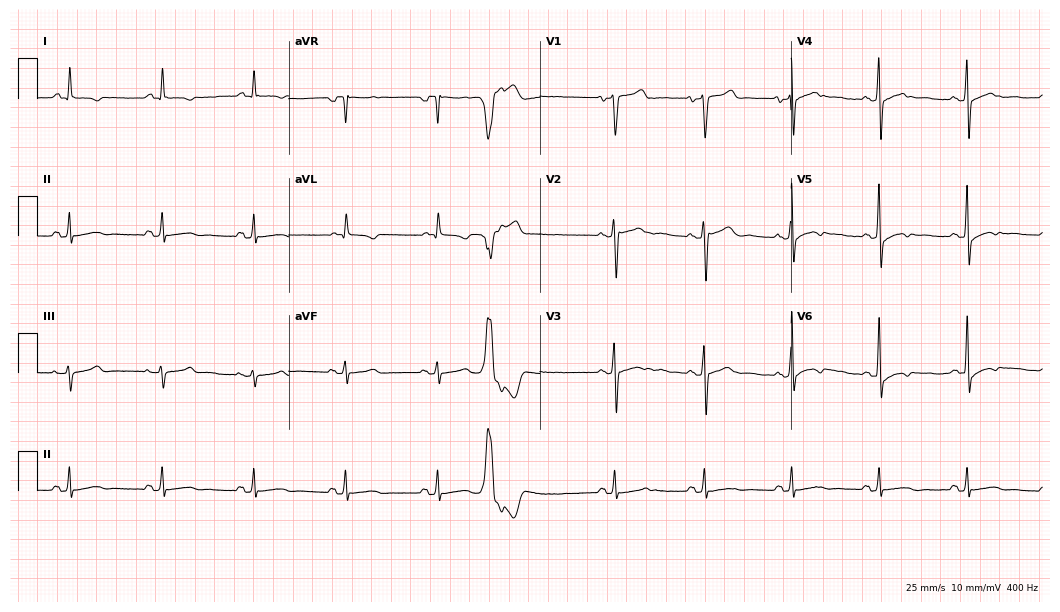
12-lead ECG from a male patient, 46 years old (10.2-second recording at 400 Hz). No first-degree AV block, right bundle branch block (RBBB), left bundle branch block (LBBB), sinus bradycardia, atrial fibrillation (AF) or sinus tachycardia recorded for this tracing.